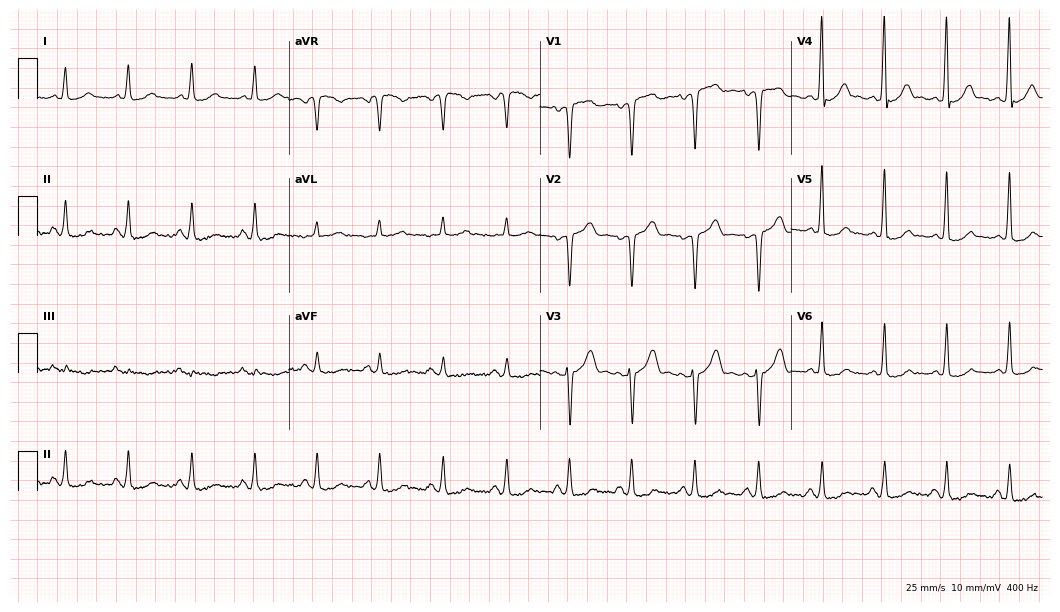
Resting 12-lead electrocardiogram (10.2-second recording at 400 Hz). Patient: a male, 55 years old. None of these six findings is recorded: first-degree AV block, right bundle branch block, left bundle branch block, sinus bradycardia, atrial fibrillation, sinus tachycardia. Findings outside these six are not listed.